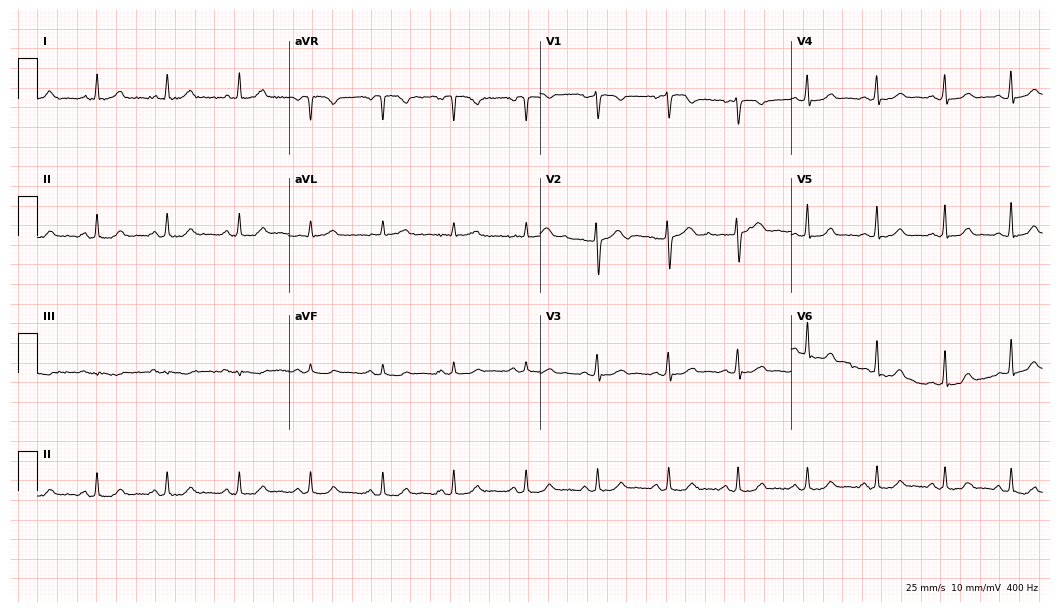
ECG — a female patient, 43 years old. Screened for six findings — first-degree AV block, right bundle branch block, left bundle branch block, sinus bradycardia, atrial fibrillation, sinus tachycardia — none is recorded. Findings outside these six are not listed.